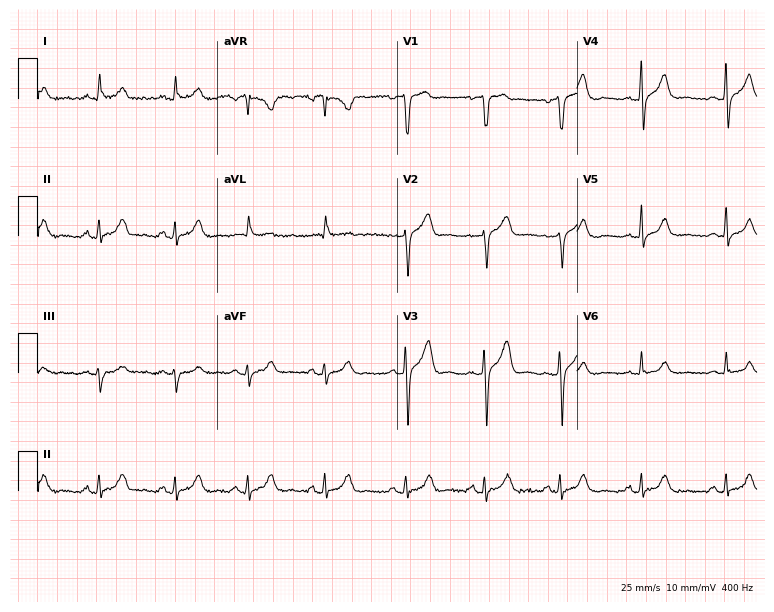
12-lead ECG from a male patient, 34 years old (7.3-second recording at 400 Hz). Recorded interpretation: within normal limits.